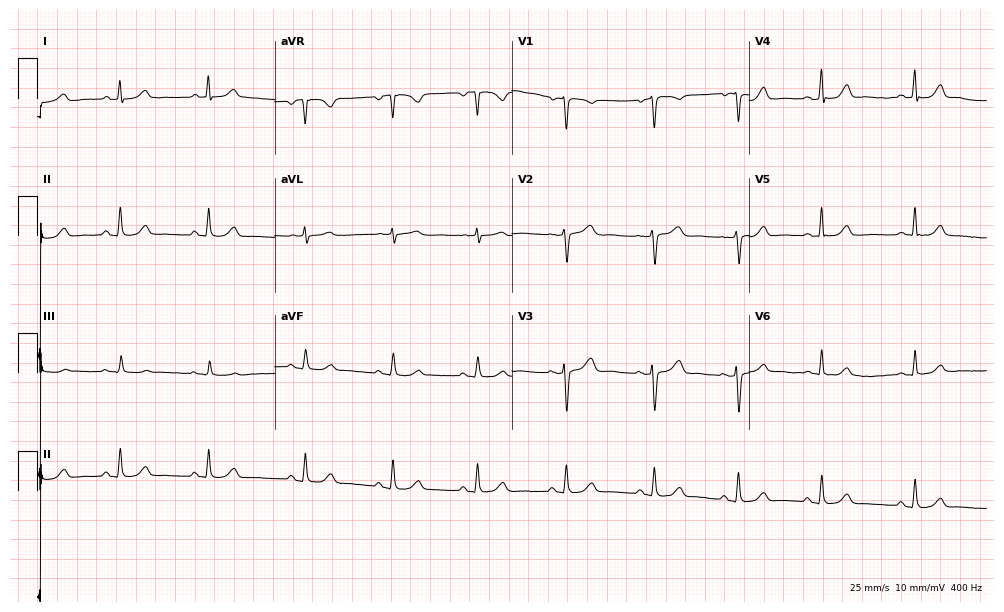
12-lead ECG from a 47-year-old female. Labelled as a normal ECG.